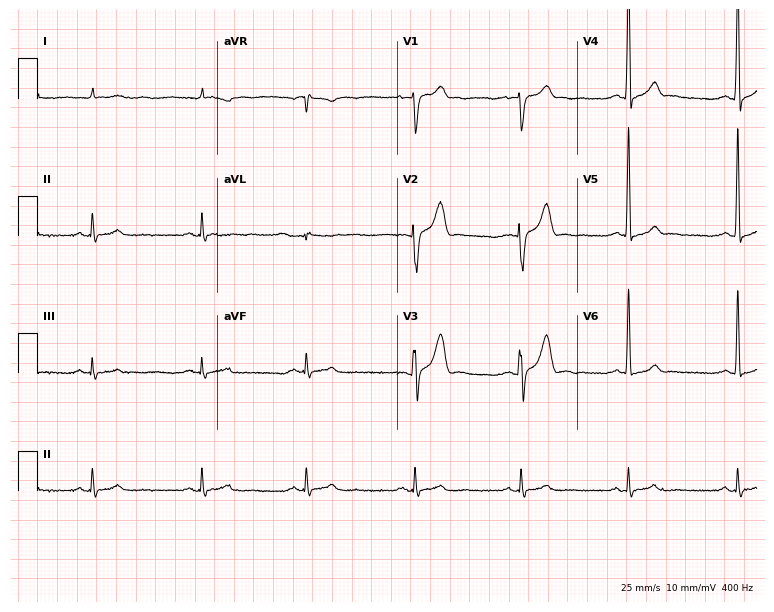
12-lead ECG from a male, 42 years old (7.3-second recording at 400 Hz). No first-degree AV block, right bundle branch block, left bundle branch block, sinus bradycardia, atrial fibrillation or sinus tachycardia recorded for this tracing.